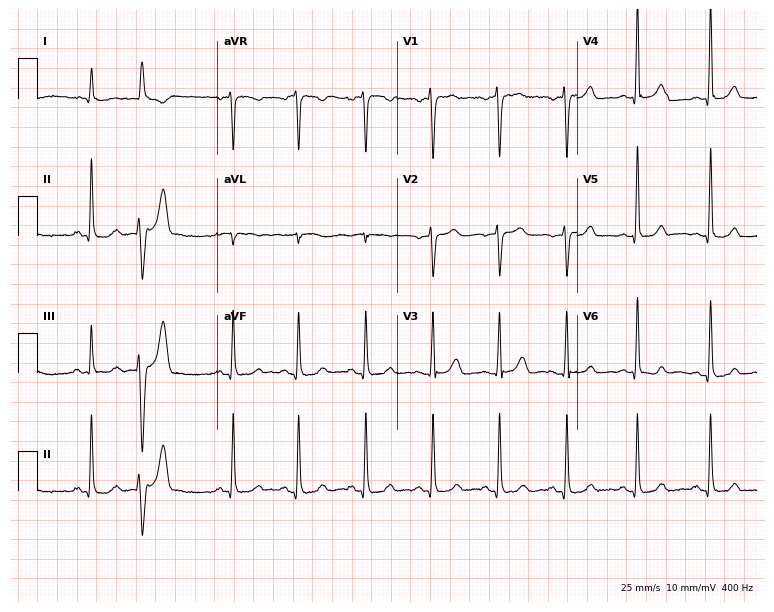
Resting 12-lead electrocardiogram (7.3-second recording at 400 Hz). Patient: a 56-year-old female. None of these six findings is recorded: first-degree AV block, right bundle branch block, left bundle branch block, sinus bradycardia, atrial fibrillation, sinus tachycardia.